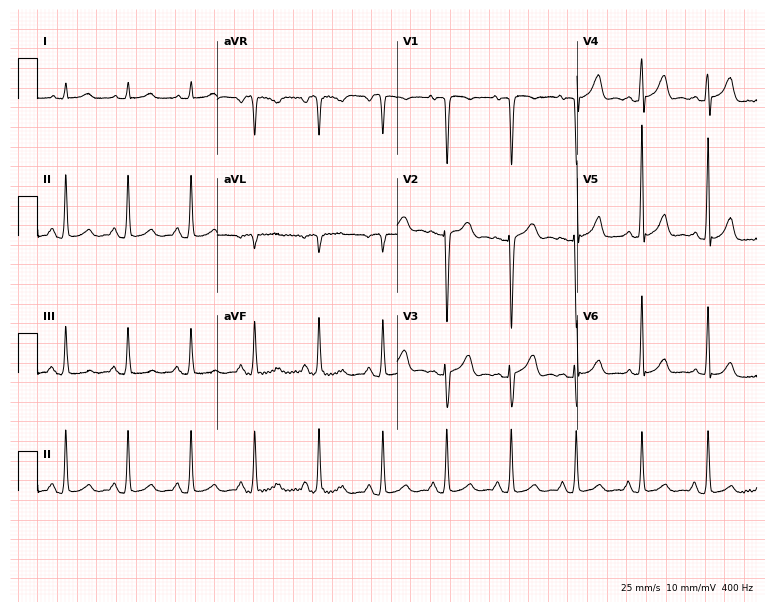
Electrocardiogram, a female patient, 52 years old. Overall reading on record: normal ECG.